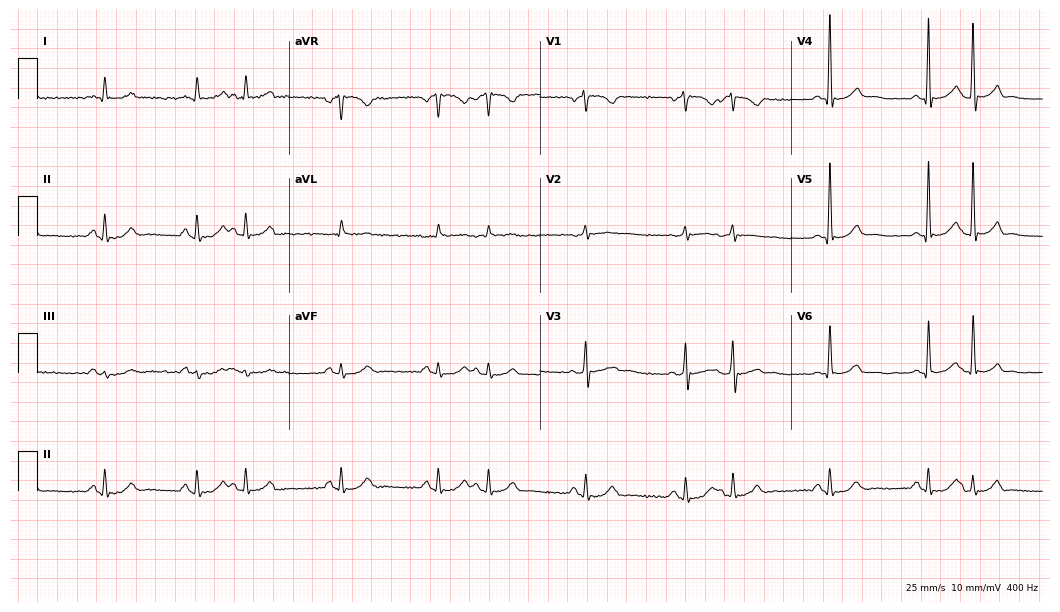
12-lead ECG from a man, 74 years old. Screened for six findings — first-degree AV block, right bundle branch block, left bundle branch block, sinus bradycardia, atrial fibrillation, sinus tachycardia — none is recorded.